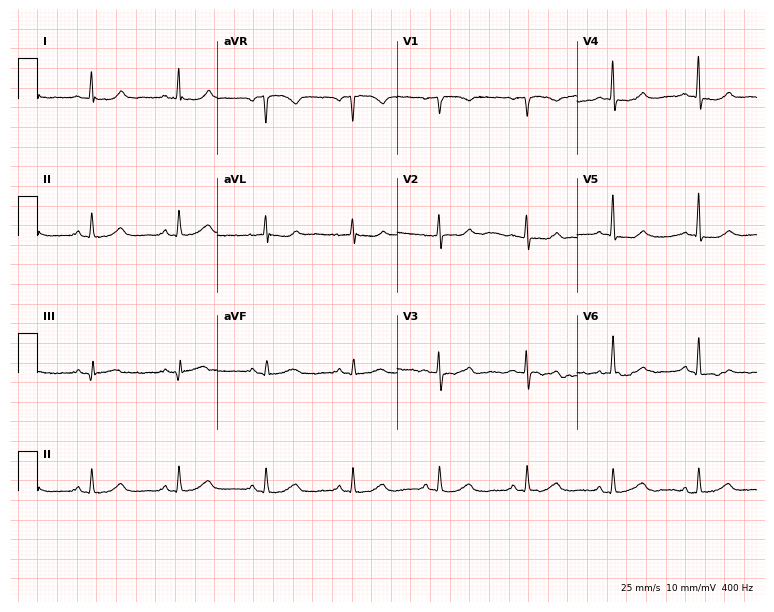
Resting 12-lead electrocardiogram. Patient: a 59-year-old woman. None of these six findings is recorded: first-degree AV block, right bundle branch block, left bundle branch block, sinus bradycardia, atrial fibrillation, sinus tachycardia. Only these six findings were labelled.